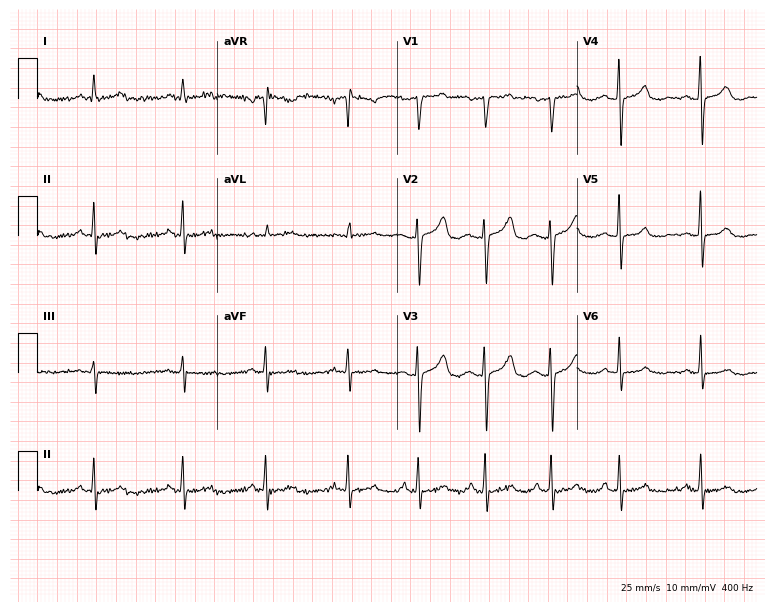
Standard 12-lead ECG recorded from a 48-year-old female. None of these six findings is recorded: first-degree AV block, right bundle branch block (RBBB), left bundle branch block (LBBB), sinus bradycardia, atrial fibrillation (AF), sinus tachycardia. Only these six findings were labelled.